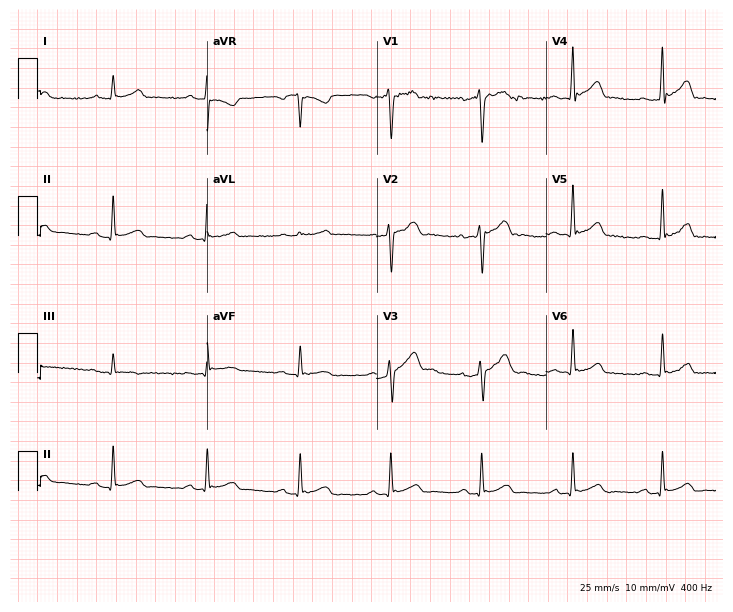
Standard 12-lead ECG recorded from a man, 34 years old (6.9-second recording at 400 Hz). None of these six findings is recorded: first-degree AV block, right bundle branch block (RBBB), left bundle branch block (LBBB), sinus bradycardia, atrial fibrillation (AF), sinus tachycardia. Other findings, if any, are not listed.